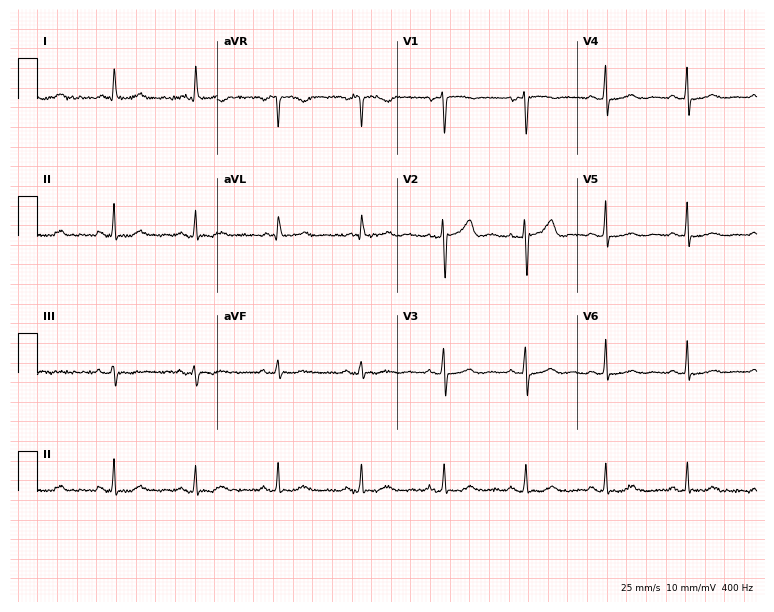
Electrocardiogram, a 57-year-old woman. Of the six screened findings (first-degree AV block, right bundle branch block, left bundle branch block, sinus bradycardia, atrial fibrillation, sinus tachycardia), none is recorded.